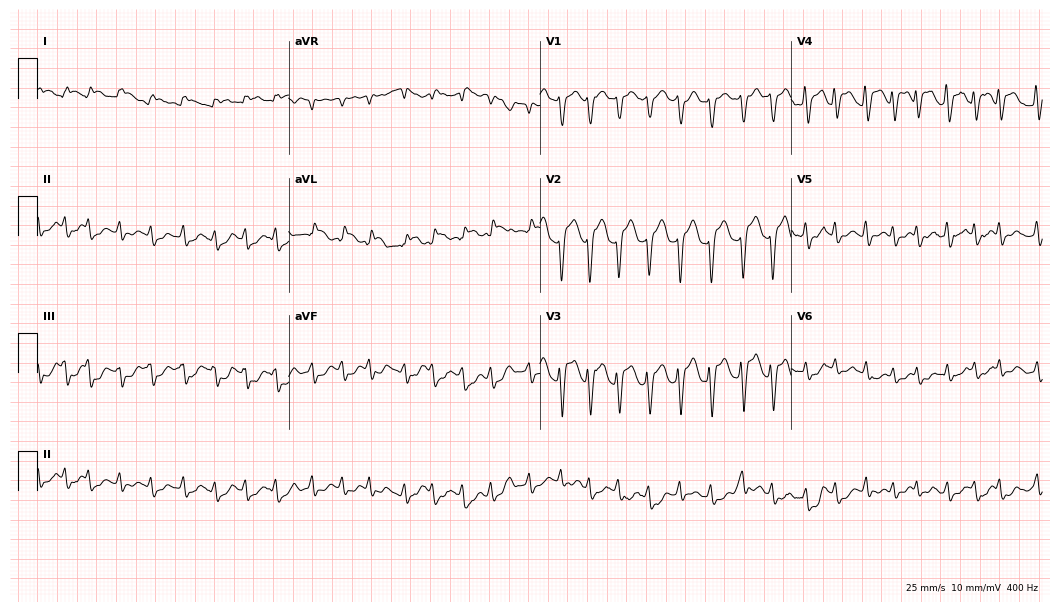
Resting 12-lead electrocardiogram (10.2-second recording at 400 Hz). Patient: a woman, 80 years old. The tracing shows atrial fibrillation (AF).